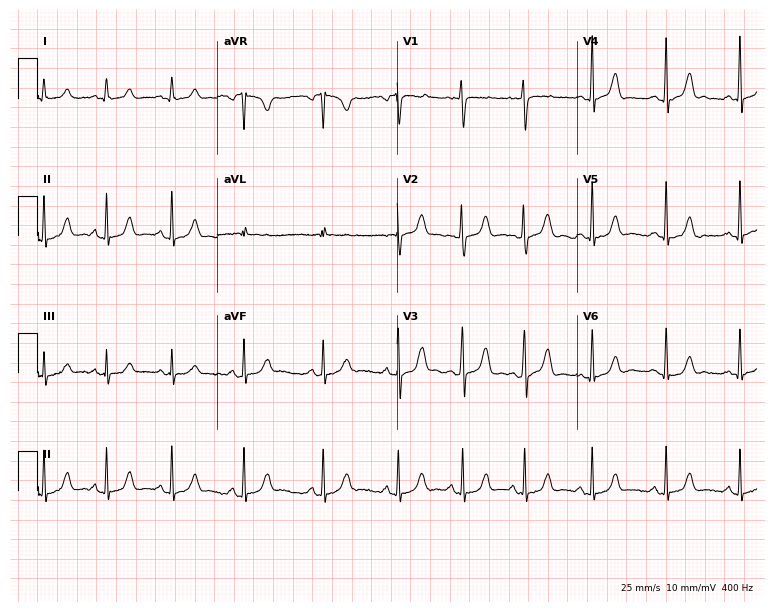
12-lead ECG from a female, 17 years old (7.3-second recording at 400 Hz). Recorded interpretation: within normal limits.